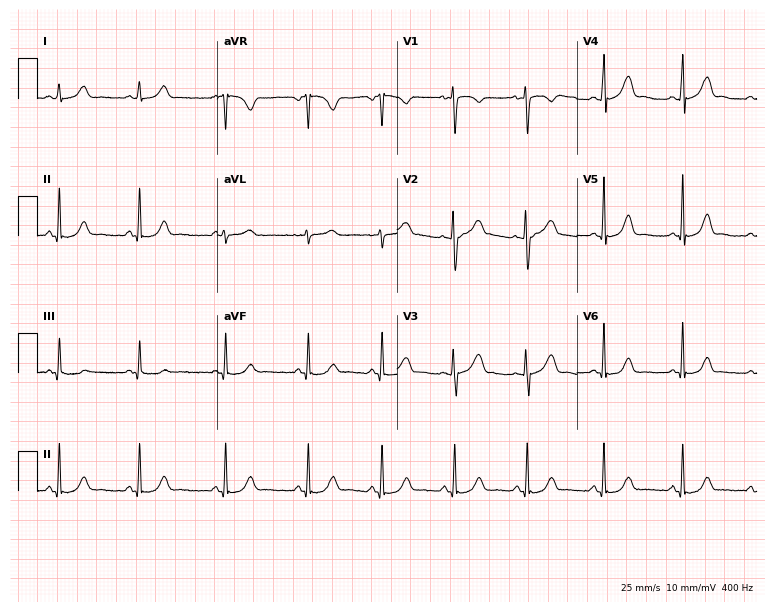
Standard 12-lead ECG recorded from a 21-year-old woman (7.3-second recording at 400 Hz). None of these six findings is recorded: first-degree AV block, right bundle branch block, left bundle branch block, sinus bradycardia, atrial fibrillation, sinus tachycardia.